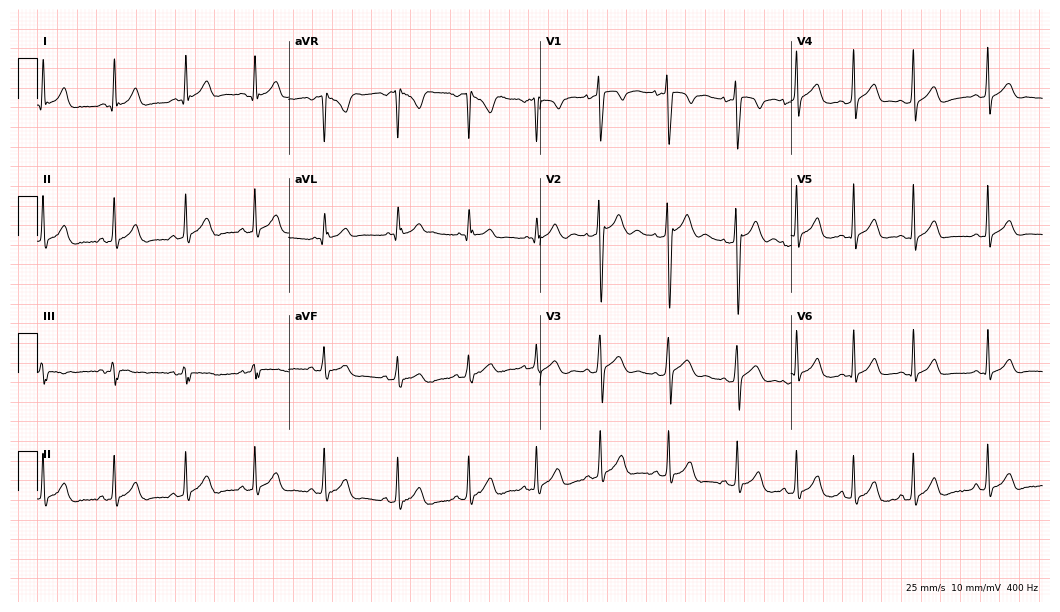
12-lead ECG from a 21-year-old man. Screened for six findings — first-degree AV block, right bundle branch block, left bundle branch block, sinus bradycardia, atrial fibrillation, sinus tachycardia — none is recorded.